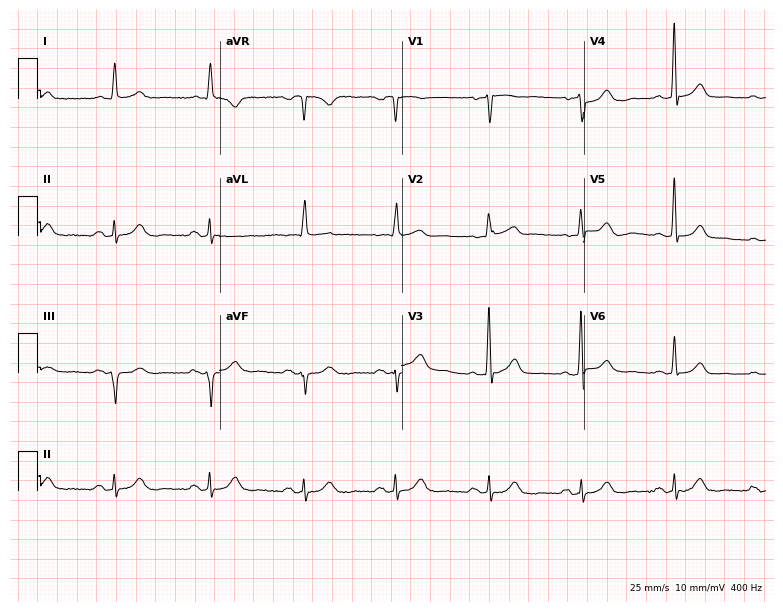
12-lead ECG from a male, 75 years old. Screened for six findings — first-degree AV block, right bundle branch block, left bundle branch block, sinus bradycardia, atrial fibrillation, sinus tachycardia — none is recorded.